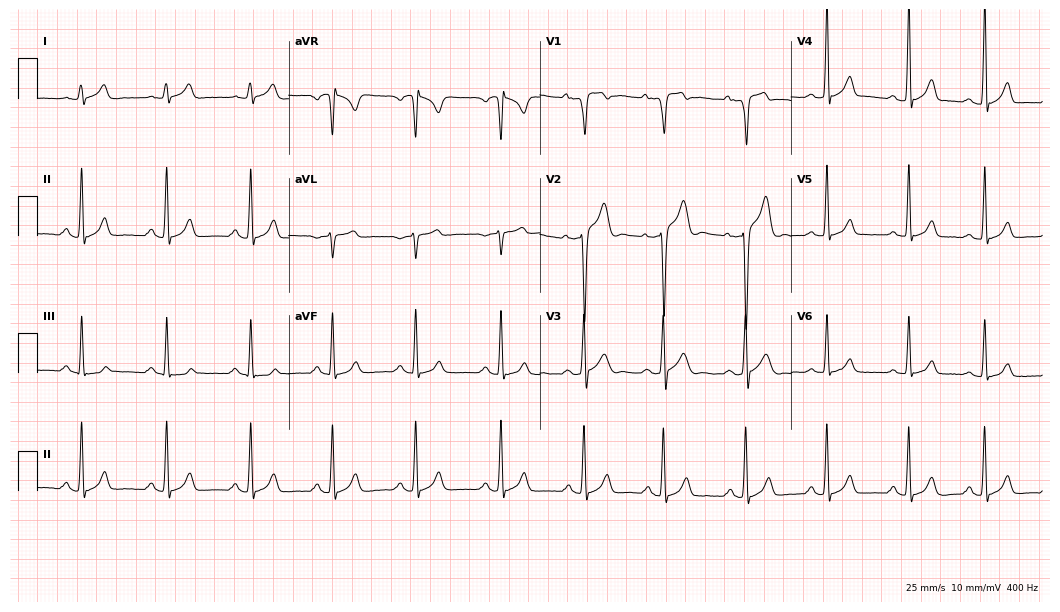
12-lead ECG from a 19-year-old male. Recorded interpretation: within normal limits.